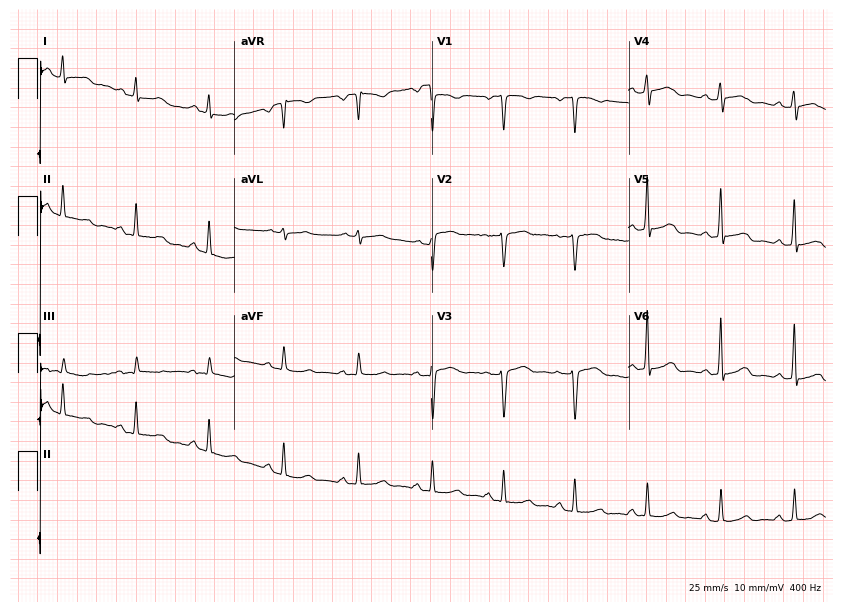
12-lead ECG from a 30-year-old female patient. Labelled as a normal ECG.